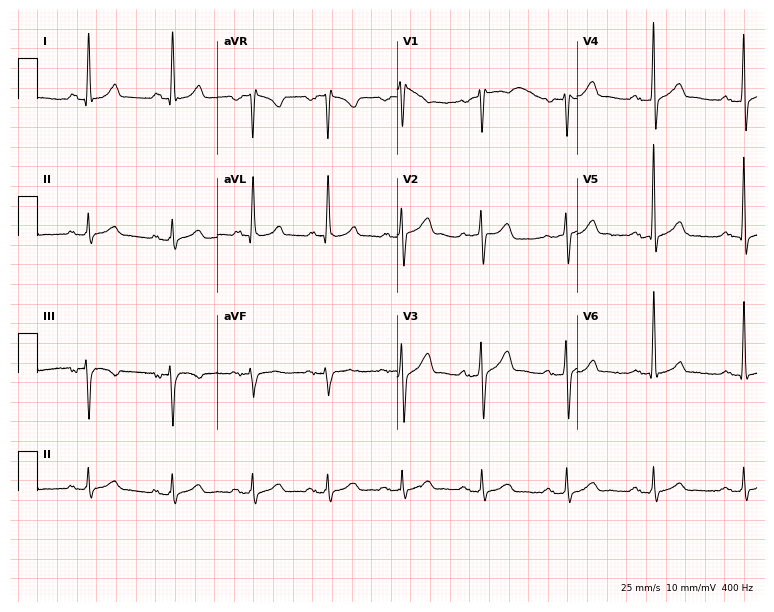
Electrocardiogram, a male, 63 years old. Of the six screened findings (first-degree AV block, right bundle branch block, left bundle branch block, sinus bradycardia, atrial fibrillation, sinus tachycardia), none is recorded.